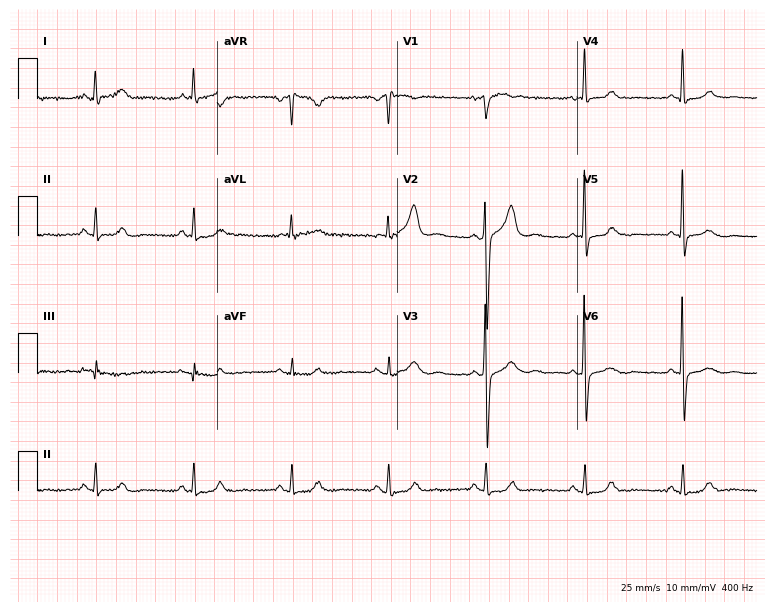
Standard 12-lead ECG recorded from a man, 60 years old. Read as a normal ECG.